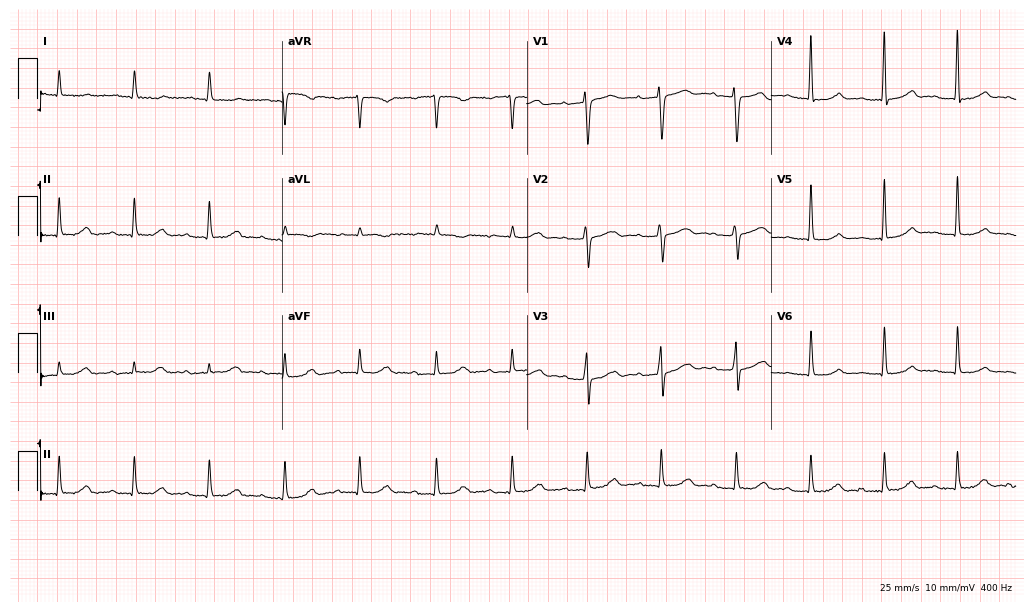
12-lead ECG from a female, 83 years old. Labelled as a normal ECG.